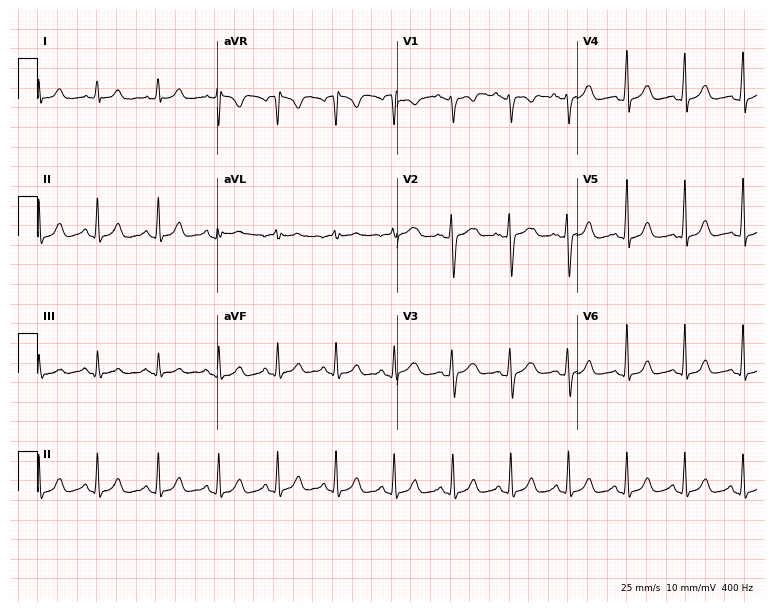
Electrocardiogram, a 28-year-old female. Of the six screened findings (first-degree AV block, right bundle branch block (RBBB), left bundle branch block (LBBB), sinus bradycardia, atrial fibrillation (AF), sinus tachycardia), none is recorded. Only these six findings were labelled.